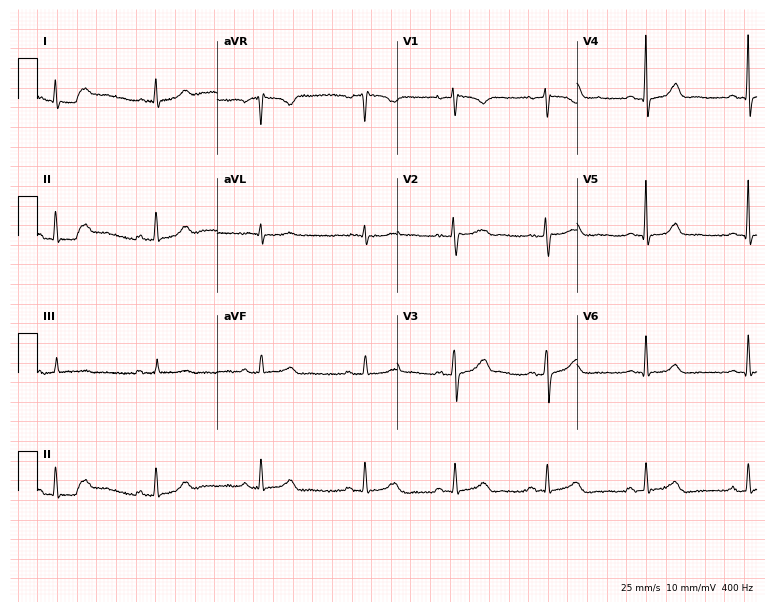
Electrocardiogram, a 40-year-old woman. Overall reading on record: normal ECG.